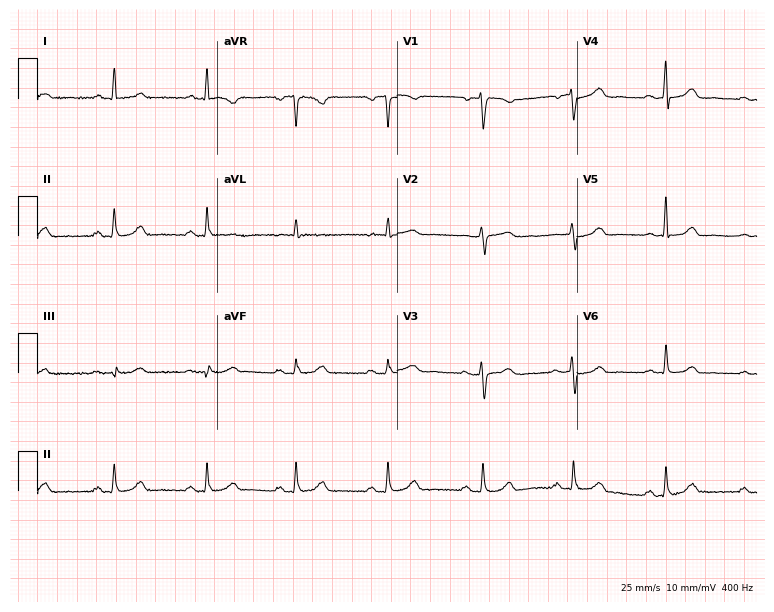
Resting 12-lead electrocardiogram (7.3-second recording at 400 Hz). Patient: a 60-year-old woman. Read as a normal ECG.